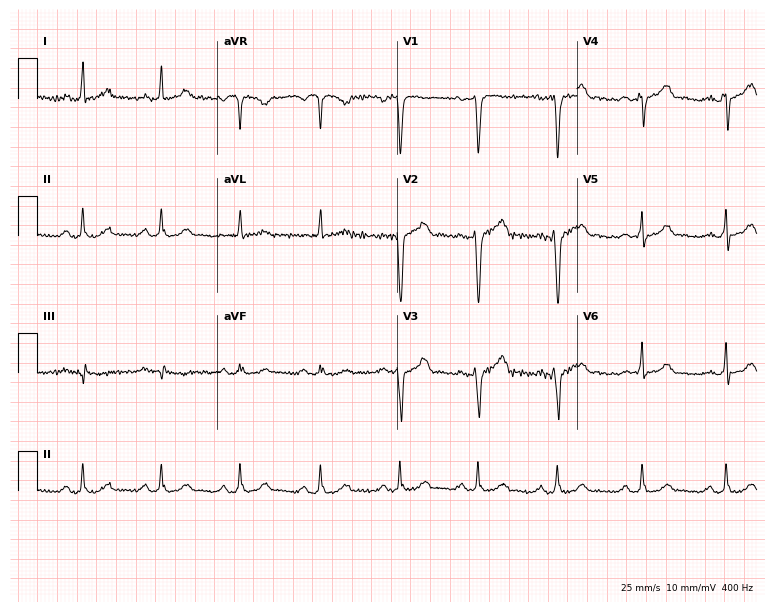
Resting 12-lead electrocardiogram (7.3-second recording at 400 Hz). Patient: a 32-year-old woman. None of these six findings is recorded: first-degree AV block, right bundle branch block, left bundle branch block, sinus bradycardia, atrial fibrillation, sinus tachycardia. Other findings, if any, are not listed.